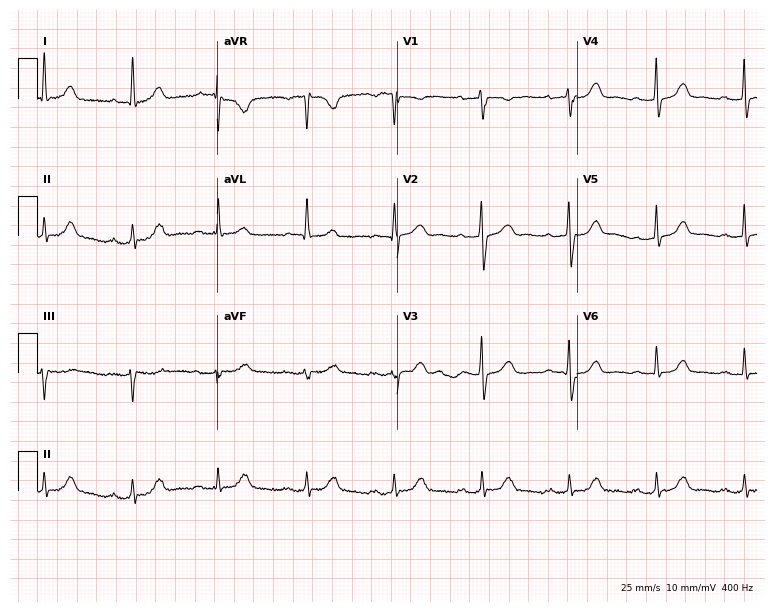
Electrocardiogram (7.3-second recording at 400 Hz), a female, 80 years old. Of the six screened findings (first-degree AV block, right bundle branch block, left bundle branch block, sinus bradycardia, atrial fibrillation, sinus tachycardia), none is recorded. Findings outside these six are not listed.